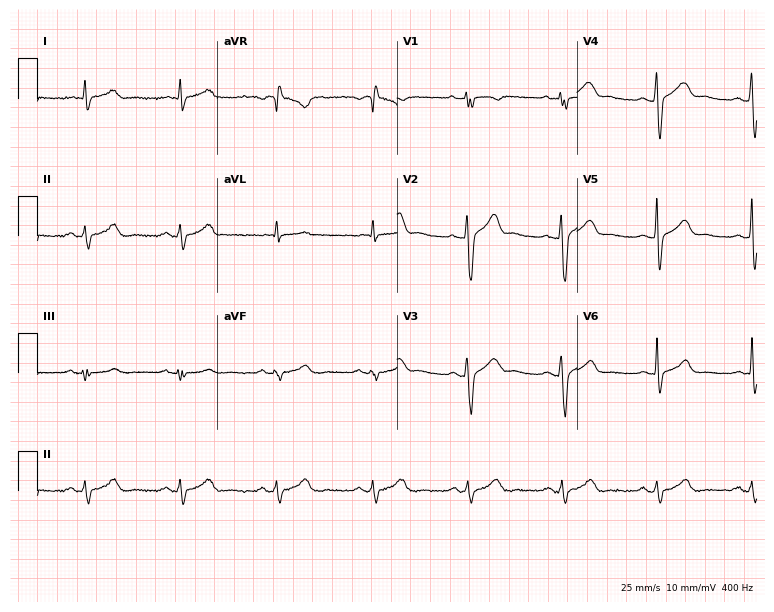
12-lead ECG from a 38-year-old male patient. Screened for six findings — first-degree AV block, right bundle branch block, left bundle branch block, sinus bradycardia, atrial fibrillation, sinus tachycardia — none is recorded. Only these six findings were labelled.